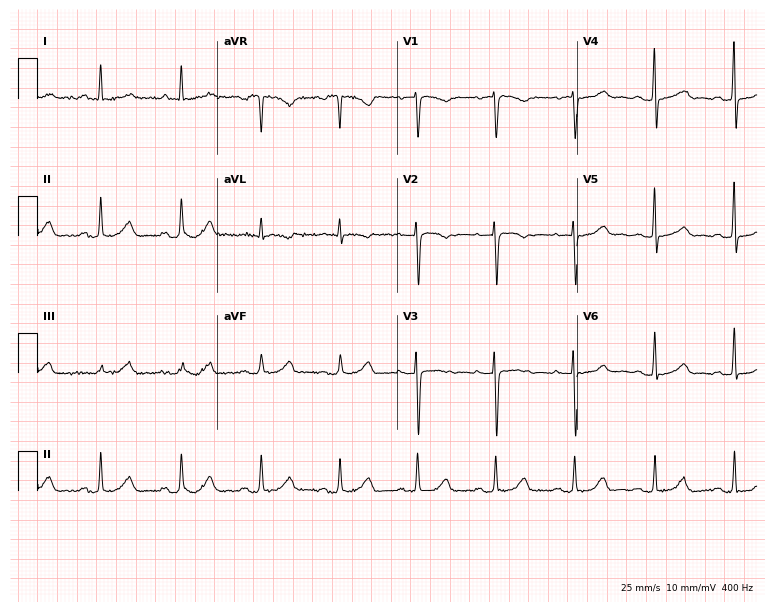
Standard 12-lead ECG recorded from a 50-year-old woman (7.3-second recording at 400 Hz). None of these six findings is recorded: first-degree AV block, right bundle branch block (RBBB), left bundle branch block (LBBB), sinus bradycardia, atrial fibrillation (AF), sinus tachycardia. Other findings, if any, are not listed.